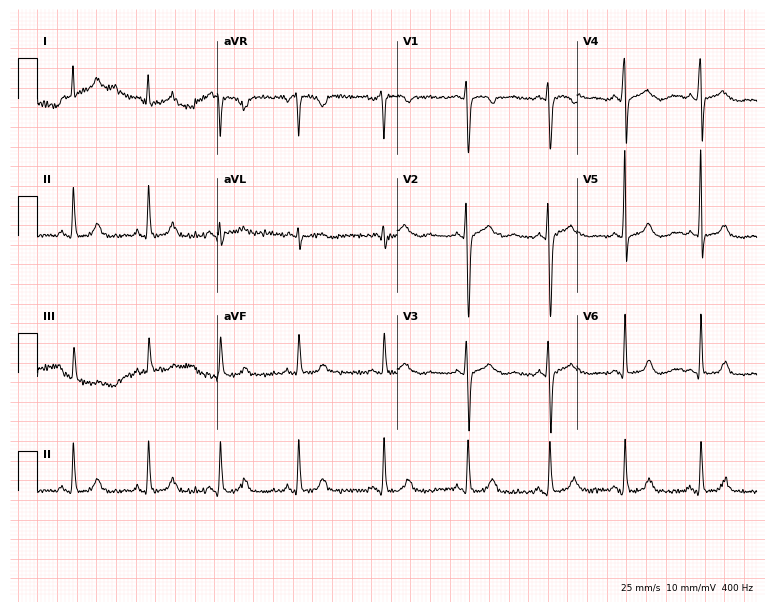
Electrocardiogram (7.3-second recording at 400 Hz), a woman, 30 years old. Overall reading on record: normal ECG.